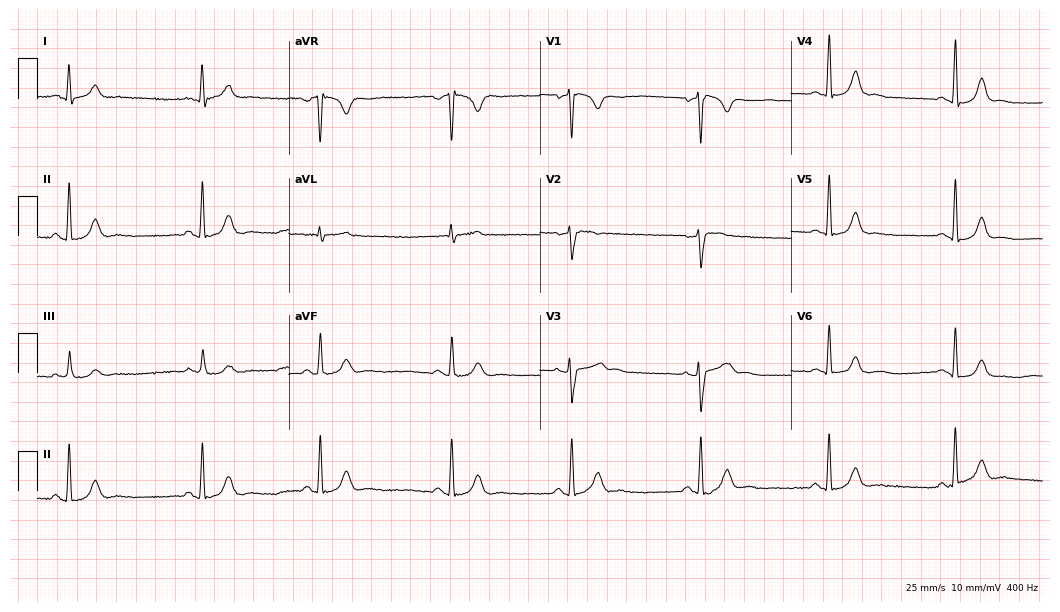
Electrocardiogram, a 19-year-old female patient. Interpretation includes sinus bradycardia (a sinus rate of 50 beats per minute or less).